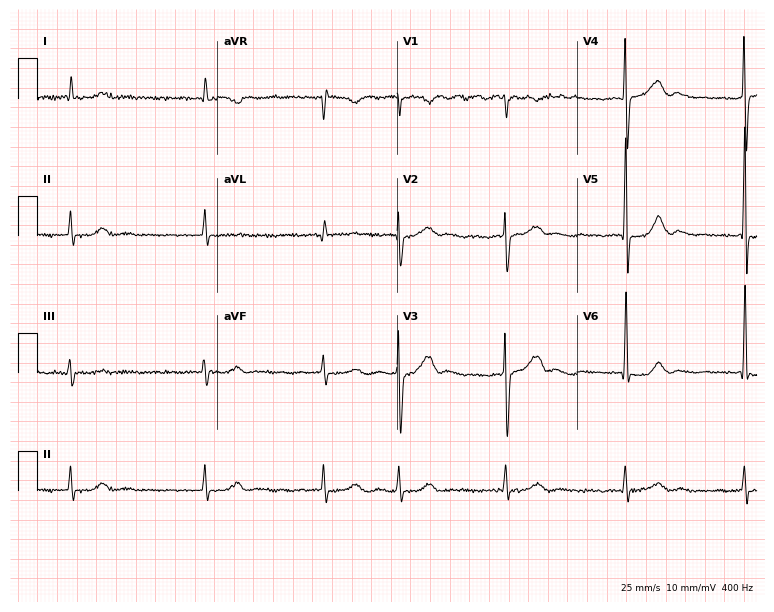
ECG (7.3-second recording at 400 Hz) — a 71-year-old male. Screened for six findings — first-degree AV block, right bundle branch block, left bundle branch block, sinus bradycardia, atrial fibrillation, sinus tachycardia — none is recorded.